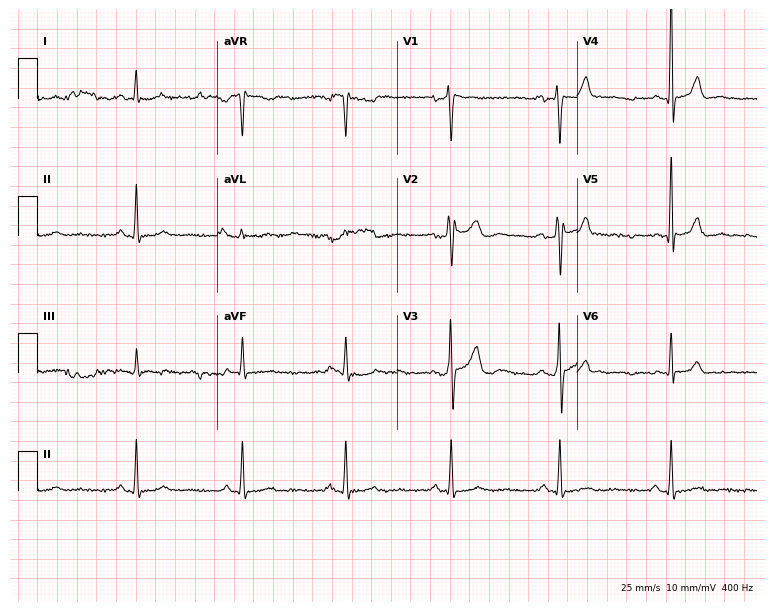
12-lead ECG from a male, 35 years old (7.3-second recording at 400 Hz). No first-degree AV block, right bundle branch block, left bundle branch block, sinus bradycardia, atrial fibrillation or sinus tachycardia recorded for this tracing. Other findings, if any, are not listed.